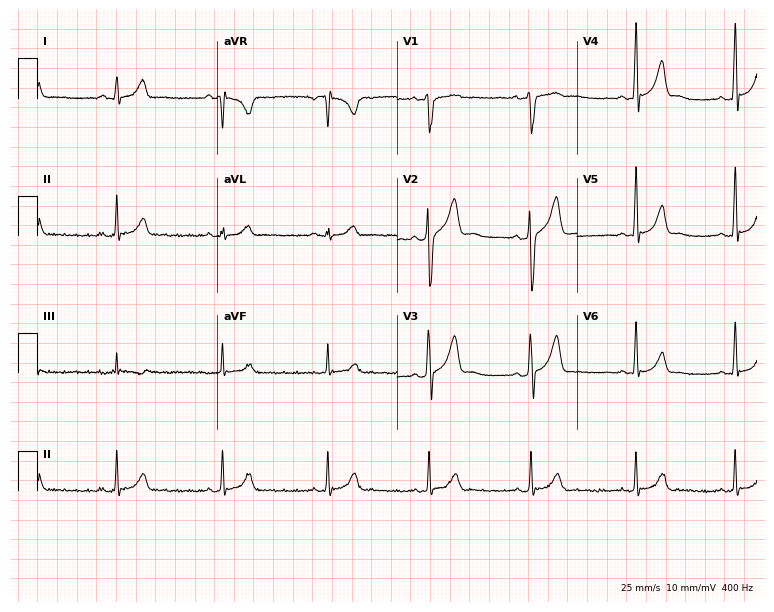
Standard 12-lead ECG recorded from a 24-year-old man (7.3-second recording at 400 Hz). None of these six findings is recorded: first-degree AV block, right bundle branch block, left bundle branch block, sinus bradycardia, atrial fibrillation, sinus tachycardia.